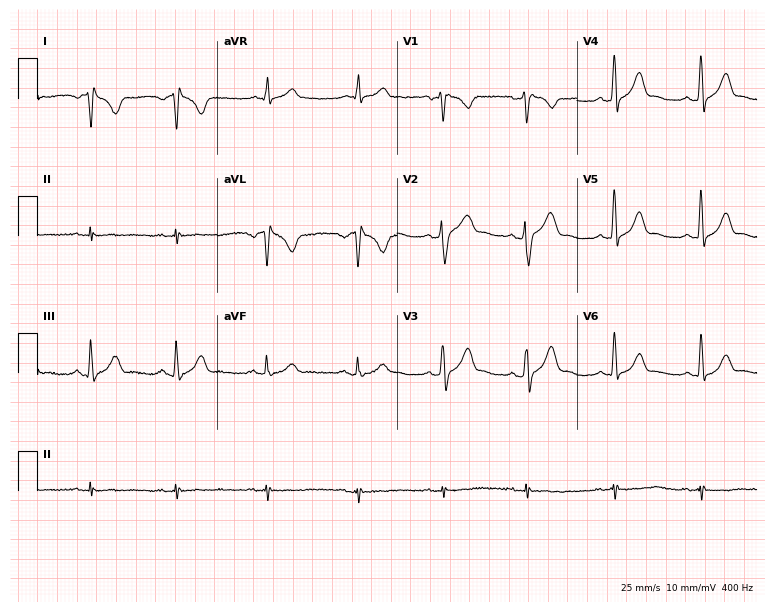
12-lead ECG from a 28-year-old man (7.3-second recording at 400 Hz). No first-degree AV block, right bundle branch block, left bundle branch block, sinus bradycardia, atrial fibrillation or sinus tachycardia recorded for this tracing. Findings outside these six are not listed.